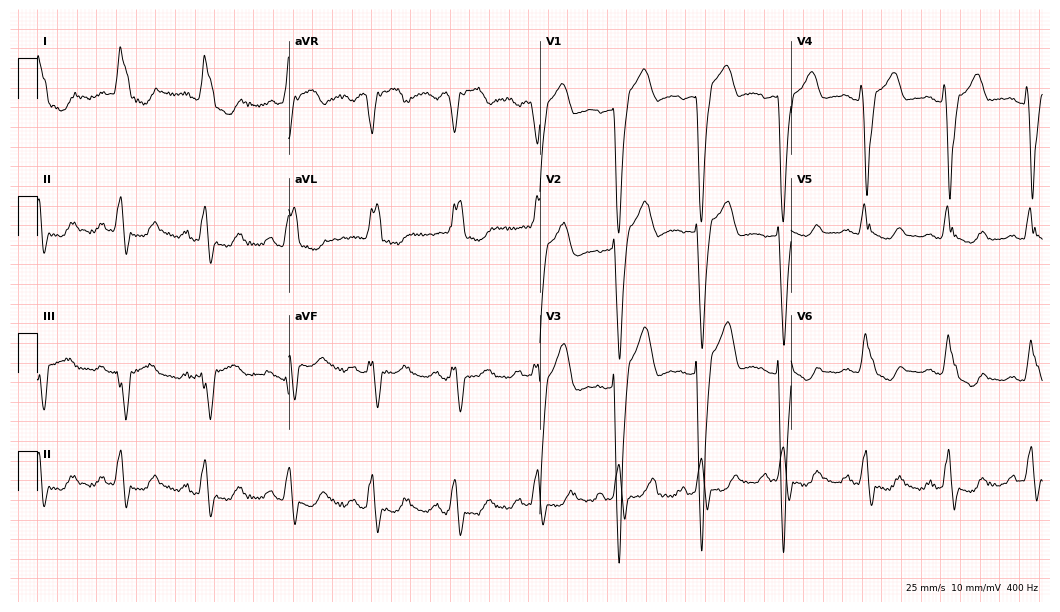
12-lead ECG from a 79-year-old female (10.2-second recording at 400 Hz). Shows left bundle branch block.